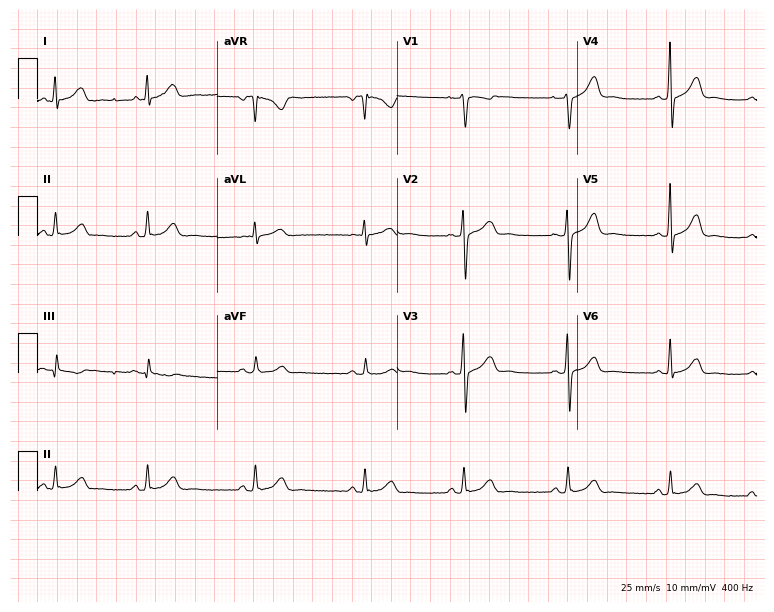
Resting 12-lead electrocardiogram. Patient: a 41-year-old female. None of these six findings is recorded: first-degree AV block, right bundle branch block, left bundle branch block, sinus bradycardia, atrial fibrillation, sinus tachycardia. Other findings, if any, are not listed.